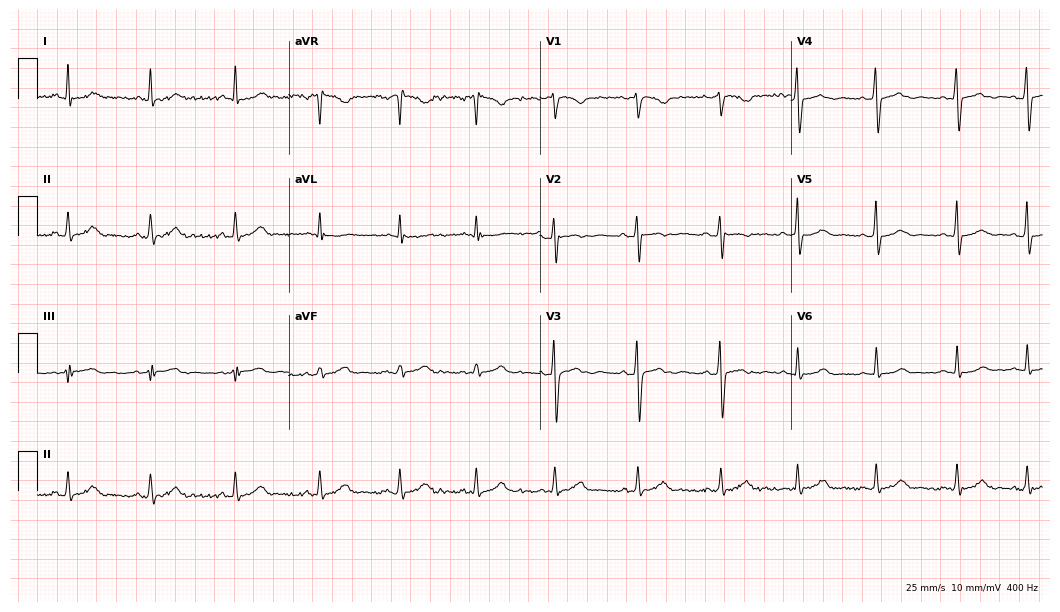
ECG (10.2-second recording at 400 Hz) — a 21-year-old female patient. Labelled as a normal ECG.